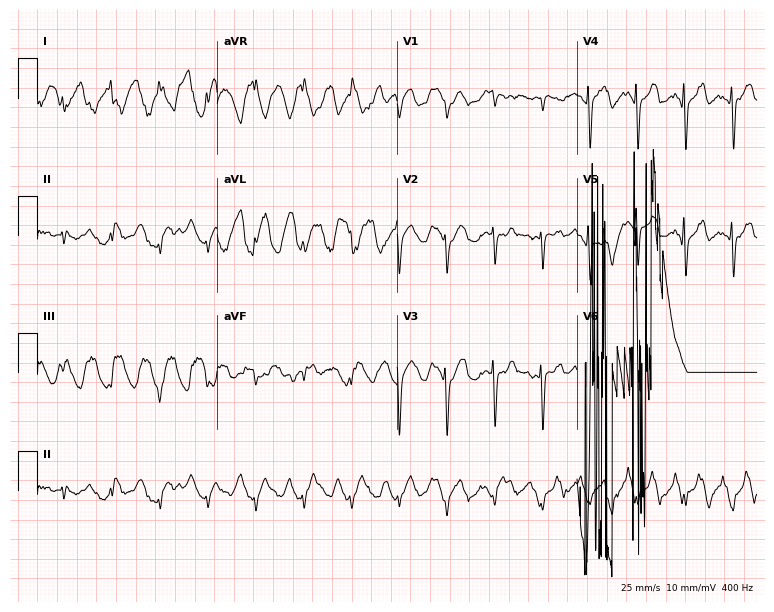
Standard 12-lead ECG recorded from a man, 83 years old (7.3-second recording at 400 Hz). None of these six findings is recorded: first-degree AV block, right bundle branch block, left bundle branch block, sinus bradycardia, atrial fibrillation, sinus tachycardia.